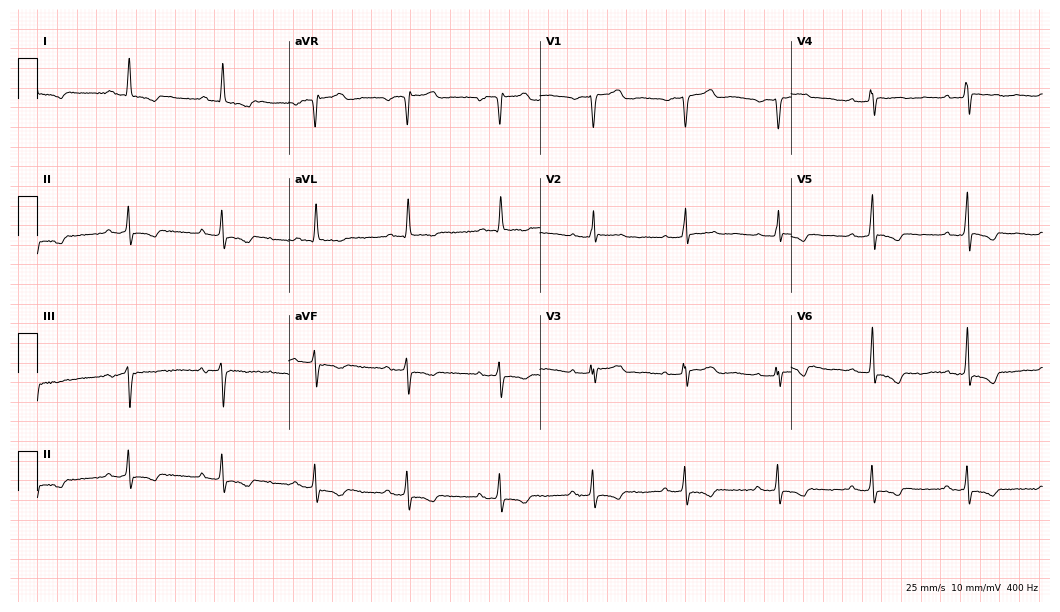
12-lead ECG (10.2-second recording at 400 Hz) from a male, 49 years old. Screened for six findings — first-degree AV block, right bundle branch block (RBBB), left bundle branch block (LBBB), sinus bradycardia, atrial fibrillation (AF), sinus tachycardia — none is recorded.